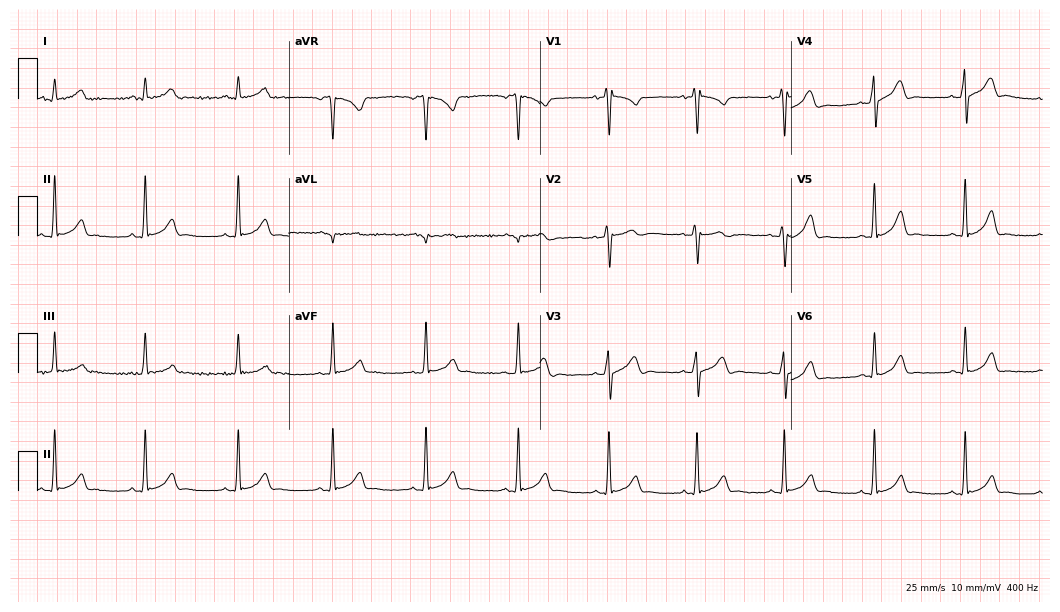
12-lead ECG from a man, 30 years old. Labelled as a normal ECG.